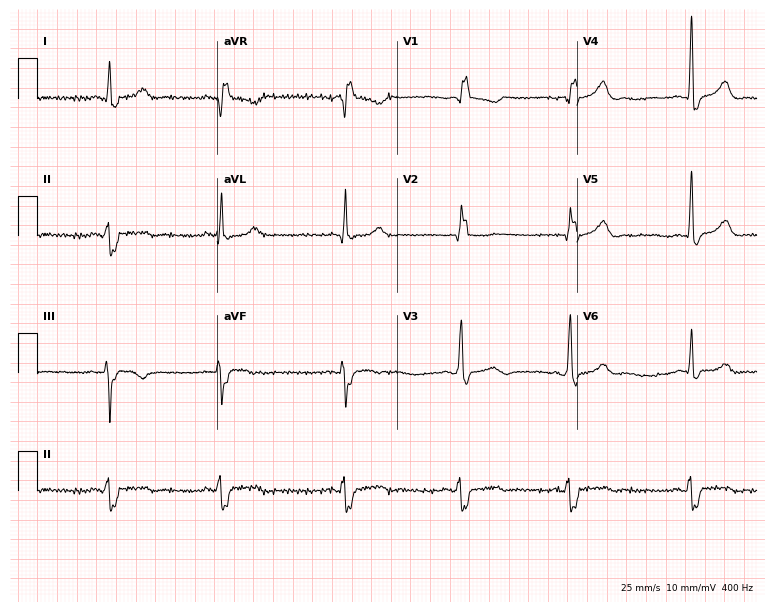
12-lead ECG from a male patient, 49 years old. Findings include right bundle branch block.